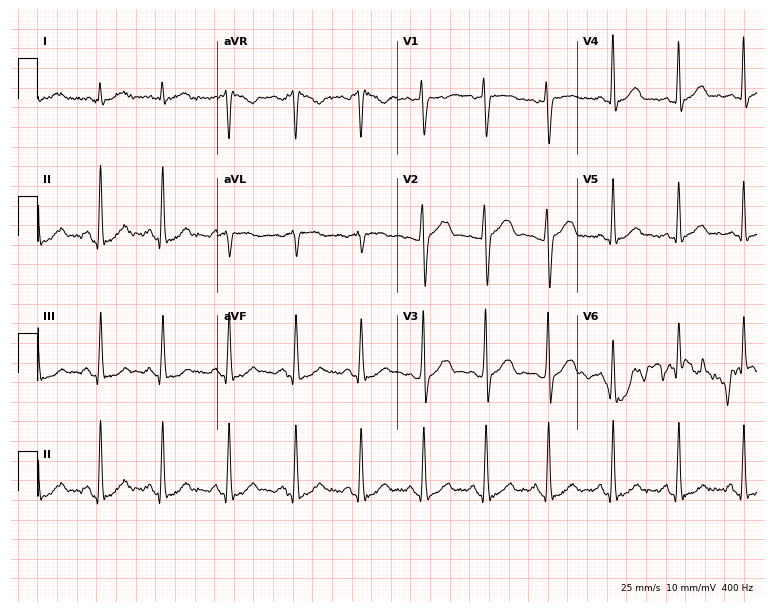
Standard 12-lead ECG recorded from a 25-year-old male (7.3-second recording at 400 Hz). None of these six findings is recorded: first-degree AV block, right bundle branch block, left bundle branch block, sinus bradycardia, atrial fibrillation, sinus tachycardia.